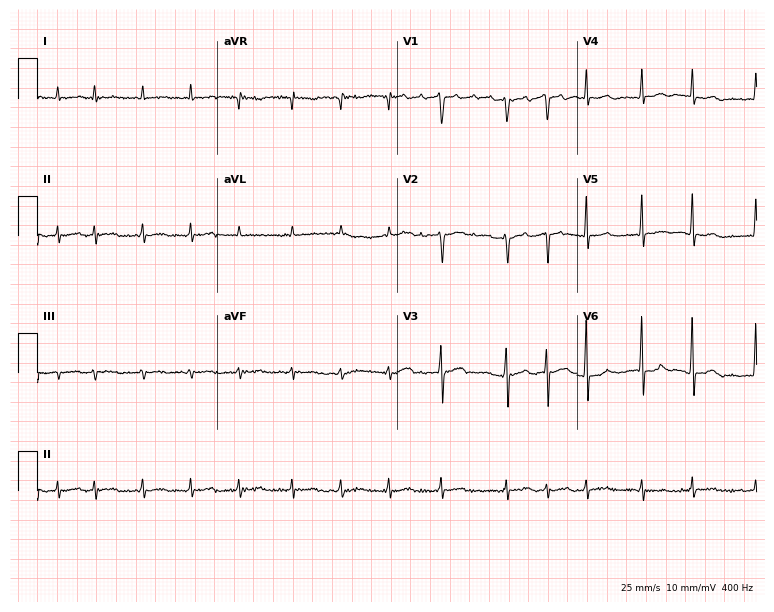
12-lead ECG from a 74-year-old man (7.3-second recording at 400 Hz). No first-degree AV block, right bundle branch block, left bundle branch block, sinus bradycardia, atrial fibrillation or sinus tachycardia recorded for this tracing.